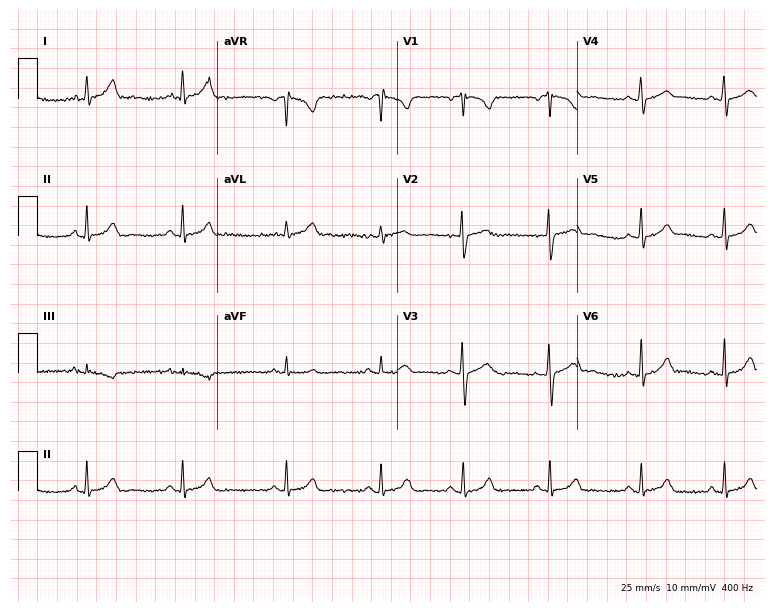
Standard 12-lead ECG recorded from a female, 19 years old. Read as a normal ECG.